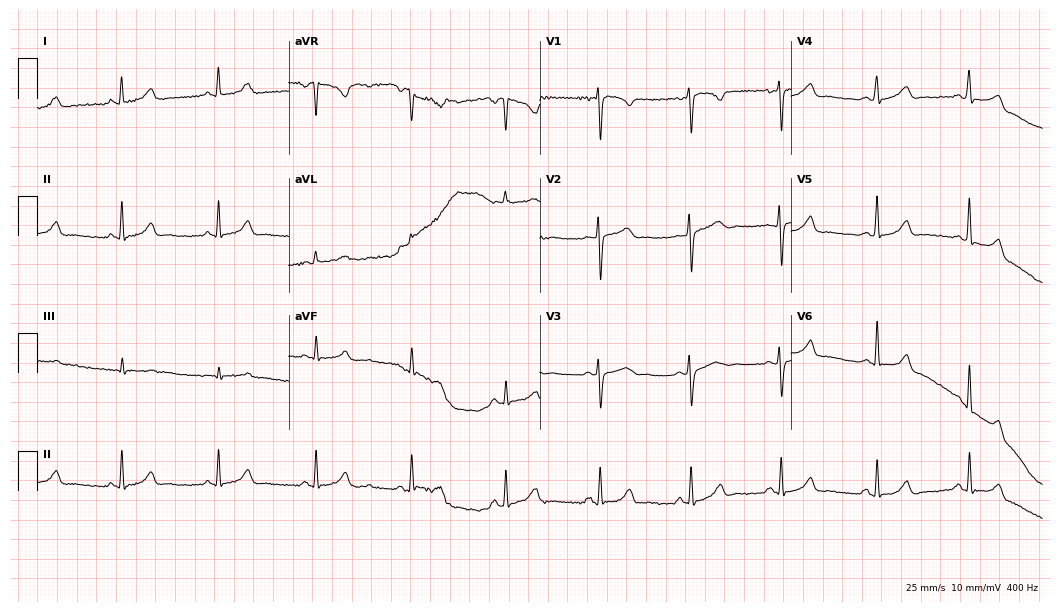
12-lead ECG from a 33-year-old female. Labelled as a normal ECG.